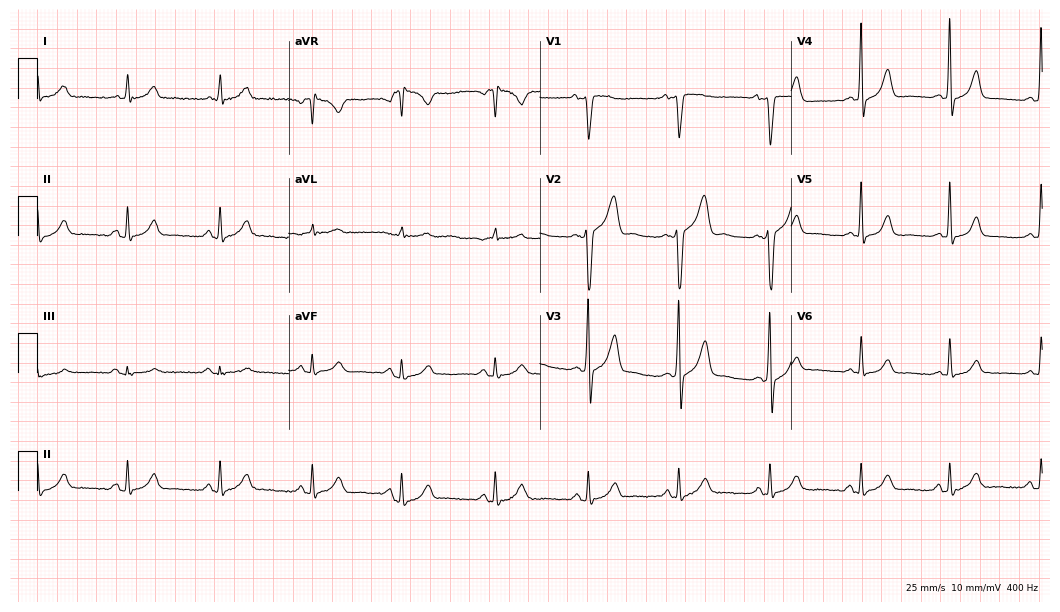
Electrocardiogram (10.2-second recording at 400 Hz), a male, 59 years old. Overall reading on record: normal ECG.